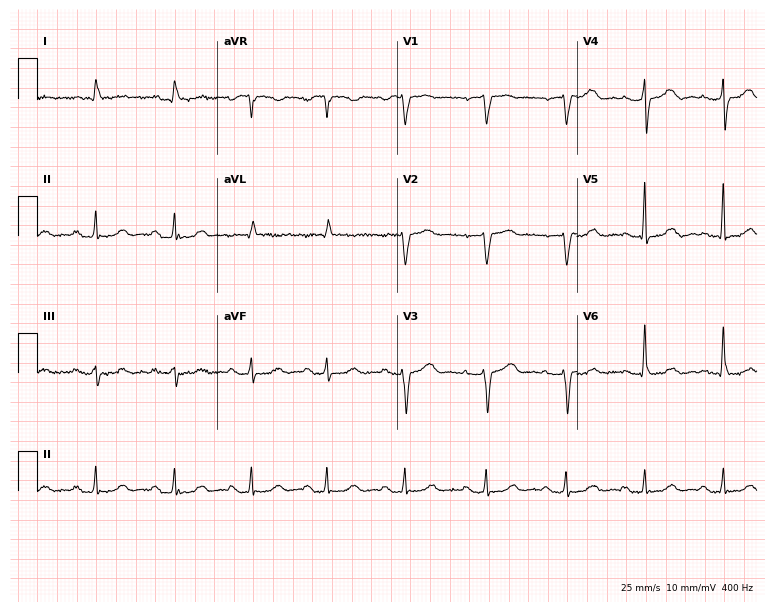
Resting 12-lead electrocardiogram. Patient: a 70-year-old man. Read as a normal ECG.